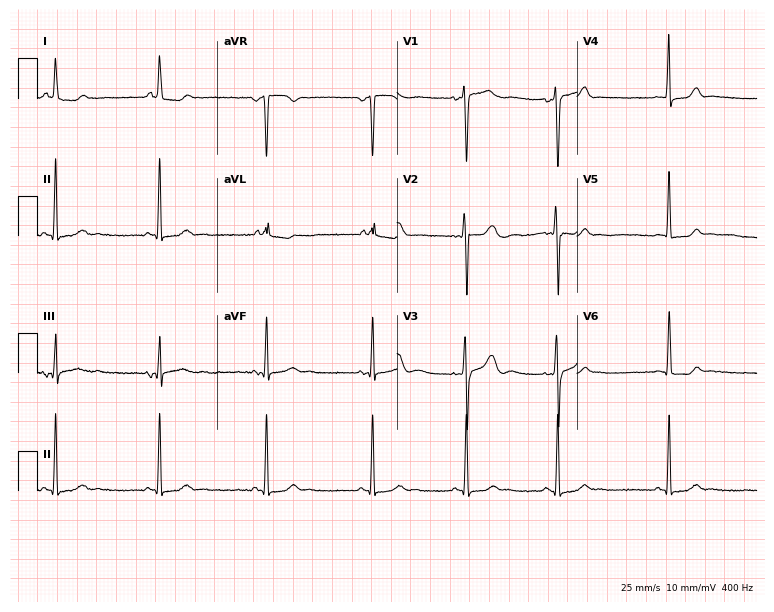
Electrocardiogram (7.3-second recording at 400 Hz), a 31-year-old woman. Of the six screened findings (first-degree AV block, right bundle branch block, left bundle branch block, sinus bradycardia, atrial fibrillation, sinus tachycardia), none is recorded.